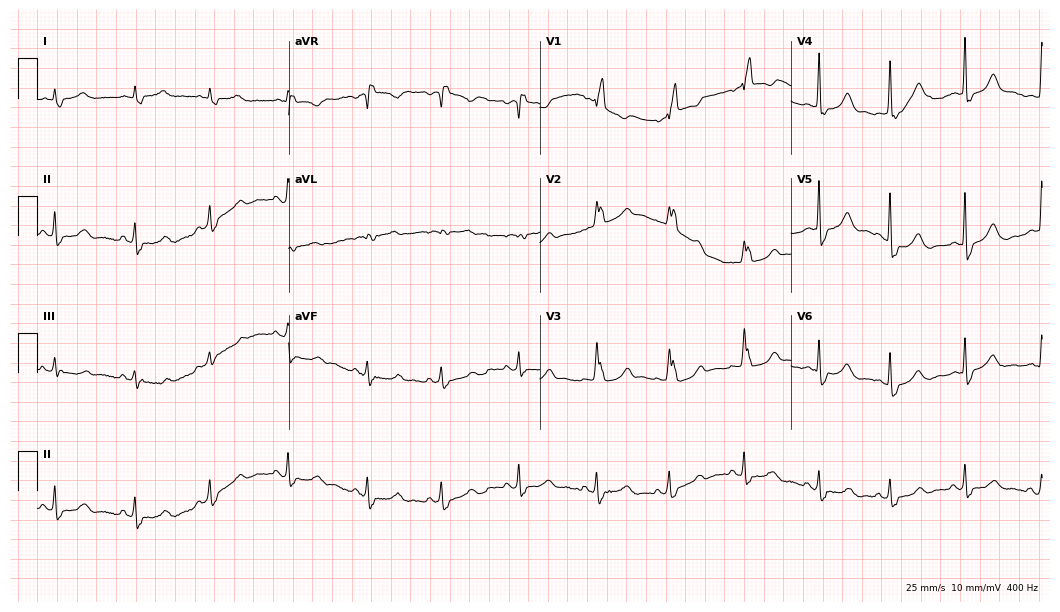
Standard 12-lead ECG recorded from a woman, 82 years old (10.2-second recording at 400 Hz). The tracing shows right bundle branch block (RBBB).